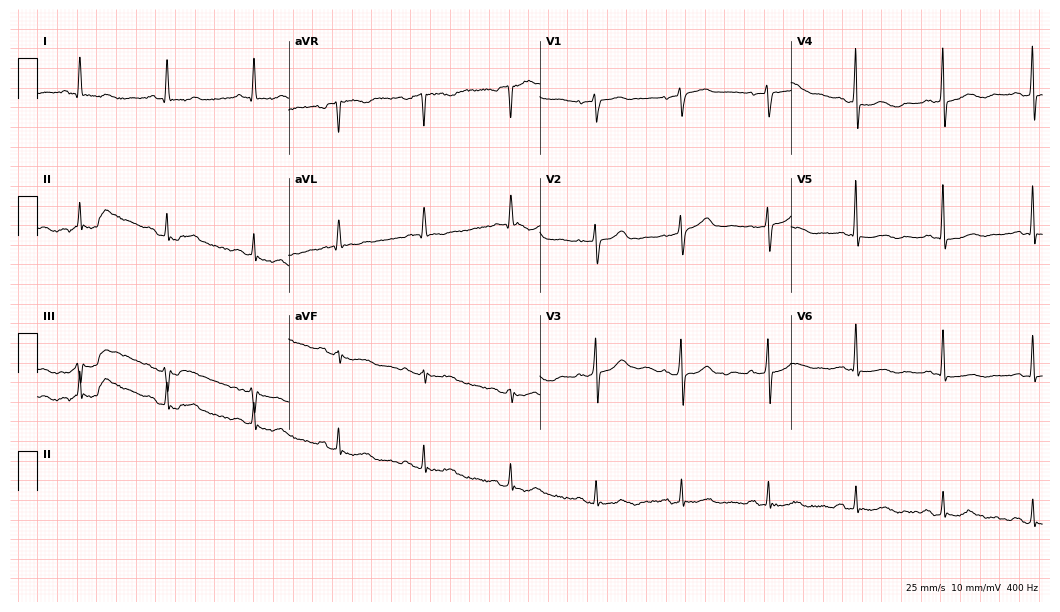
Standard 12-lead ECG recorded from an 82-year-old female patient (10.2-second recording at 400 Hz). None of these six findings is recorded: first-degree AV block, right bundle branch block (RBBB), left bundle branch block (LBBB), sinus bradycardia, atrial fibrillation (AF), sinus tachycardia. Findings outside these six are not listed.